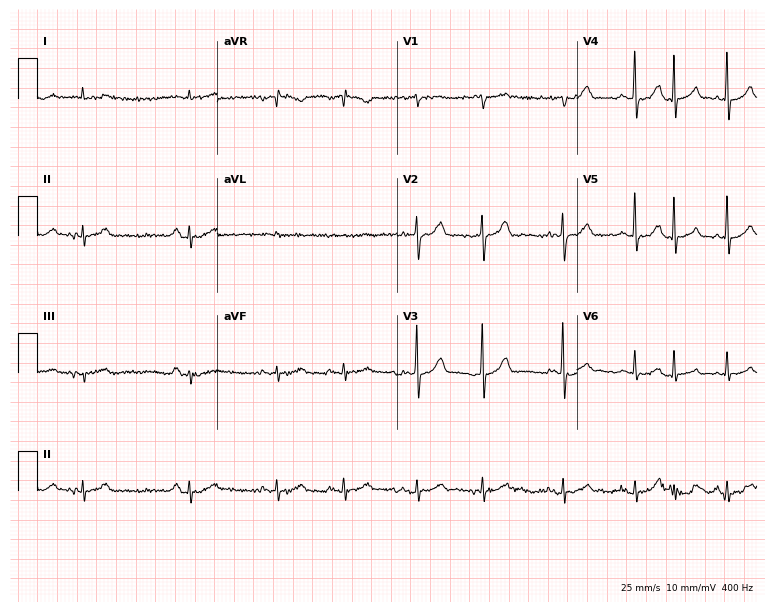
Electrocardiogram, a male, 79 years old. Of the six screened findings (first-degree AV block, right bundle branch block, left bundle branch block, sinus bradycardia, atrial fibrillation, sinus tachycardia), none is recorded. Findings outside these six are not listed.